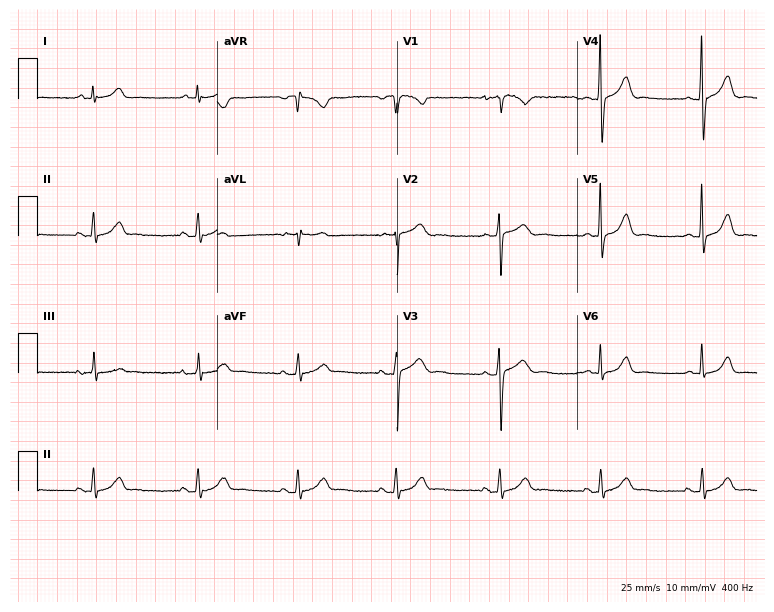
Standard 12-lead ECG recorded from a male, 52 years old. Read as a normal ECG.